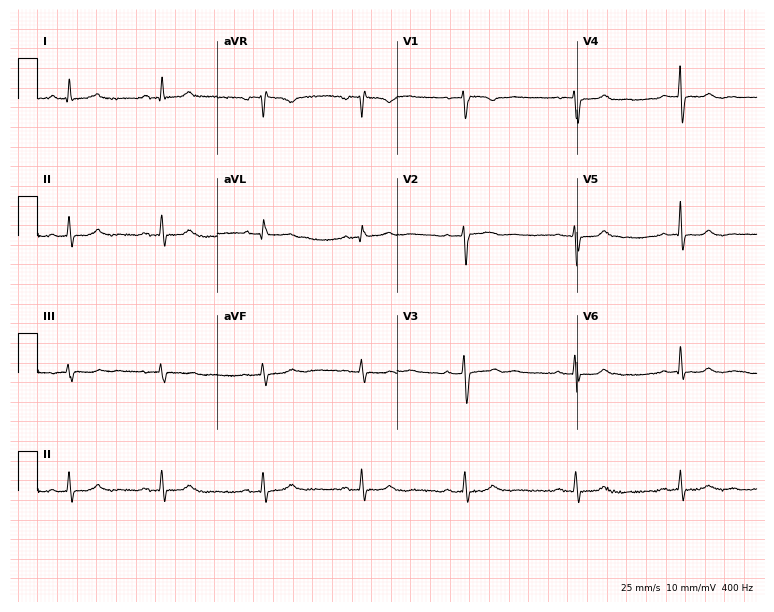
ECG — a 51-year-old woman. Labelled as a normal ECG.